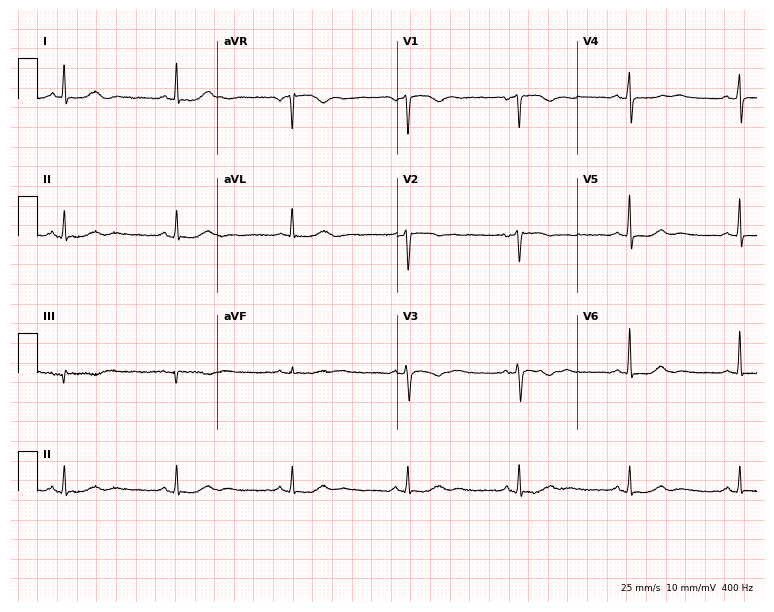
Resting 12-lead electrocardiogram (7.3-second recording at 400 Hz). Patient: a female, 62 years old. Read as a normal ECG.